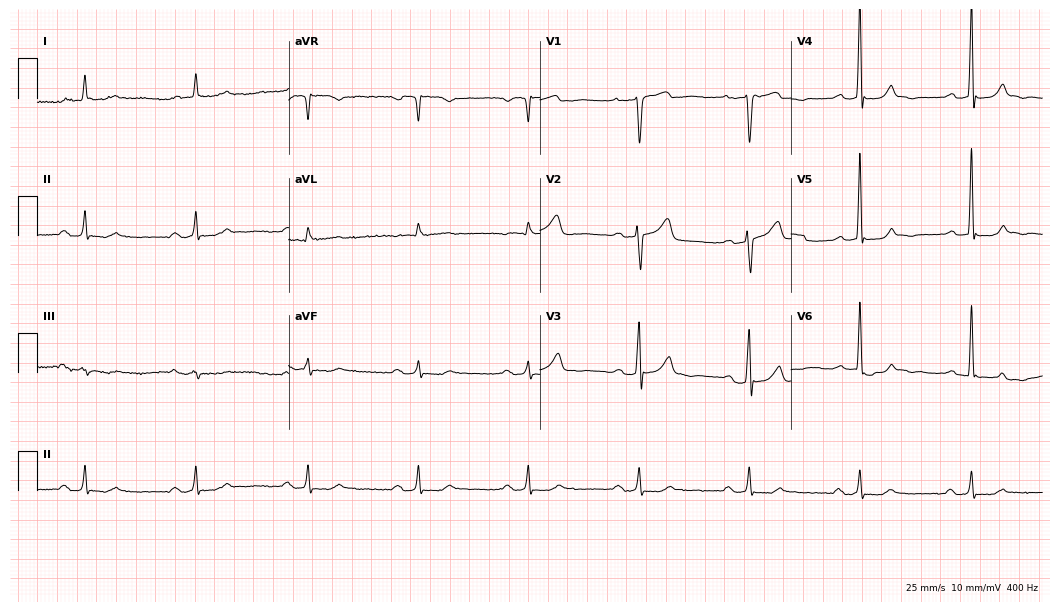
Standard 12-lead ECG recorded from an 80-year-old man. The tracing shows first-degree AV block.